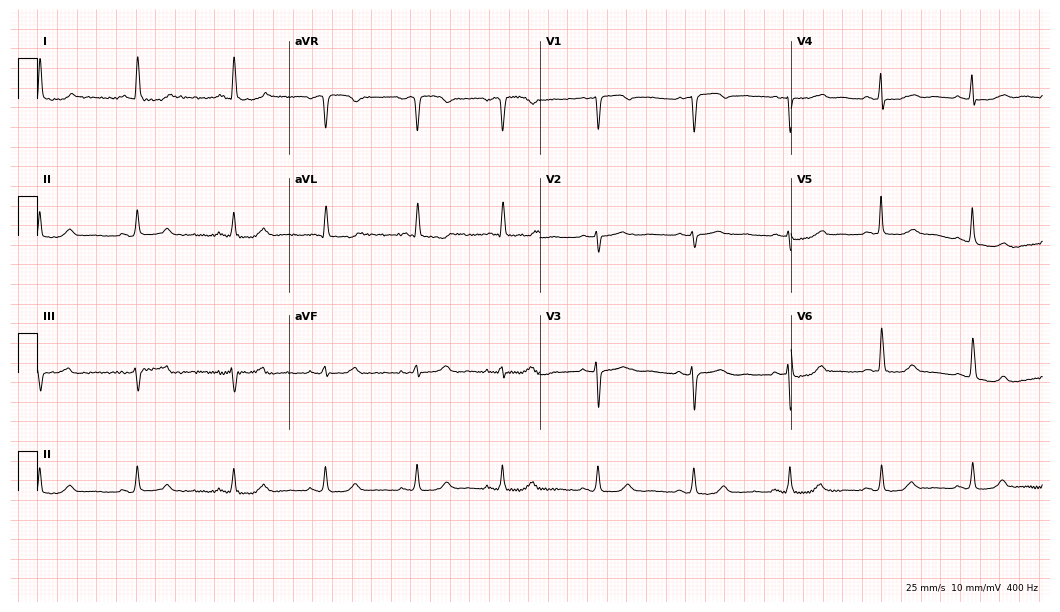
12-lead ECG from a 76-year-old woman. Recorded interpretation: within normal limits.